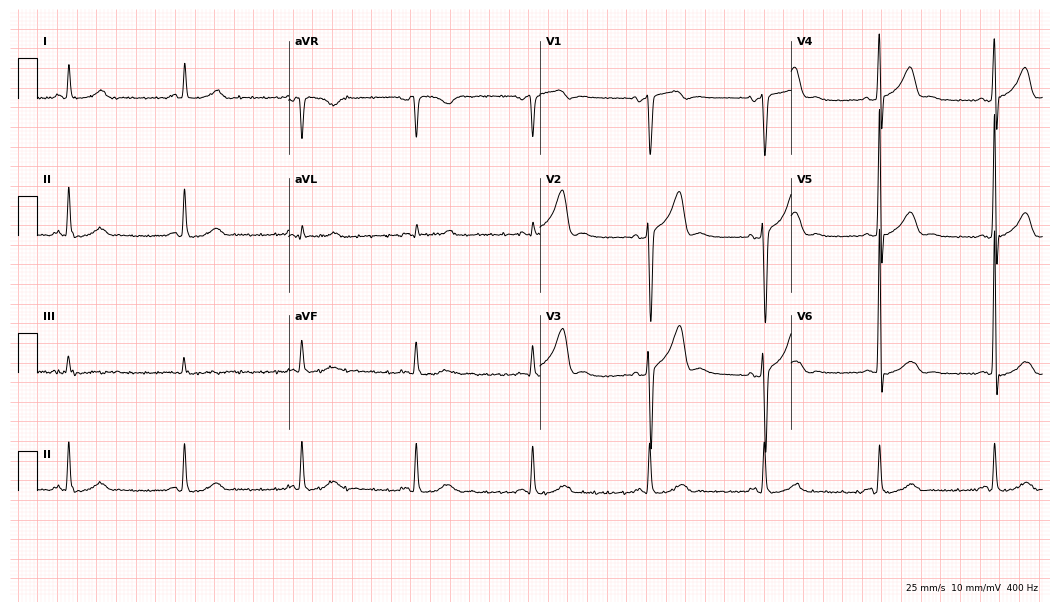
12-lead ECG (10.2-second recording at 400 Hz) from a male, 81 years old. Labelled as a normal ECG.